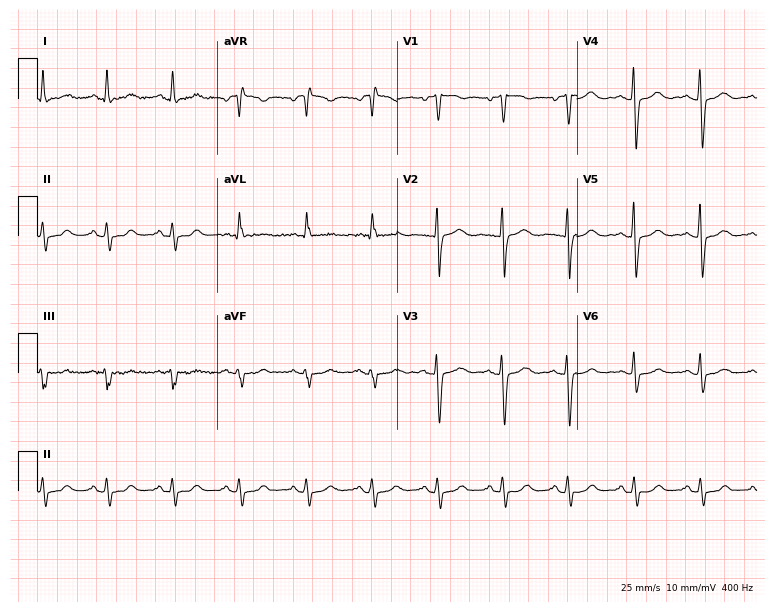
ECG (7.3-second recording at 400 Hz) — a female, 51 years old. Screened for six findings — first-degree AV block, right bundle branch block, left bundle branch block, sinus bradycardia, atrial fibrillation, sinus tachycardia — none is recorded.